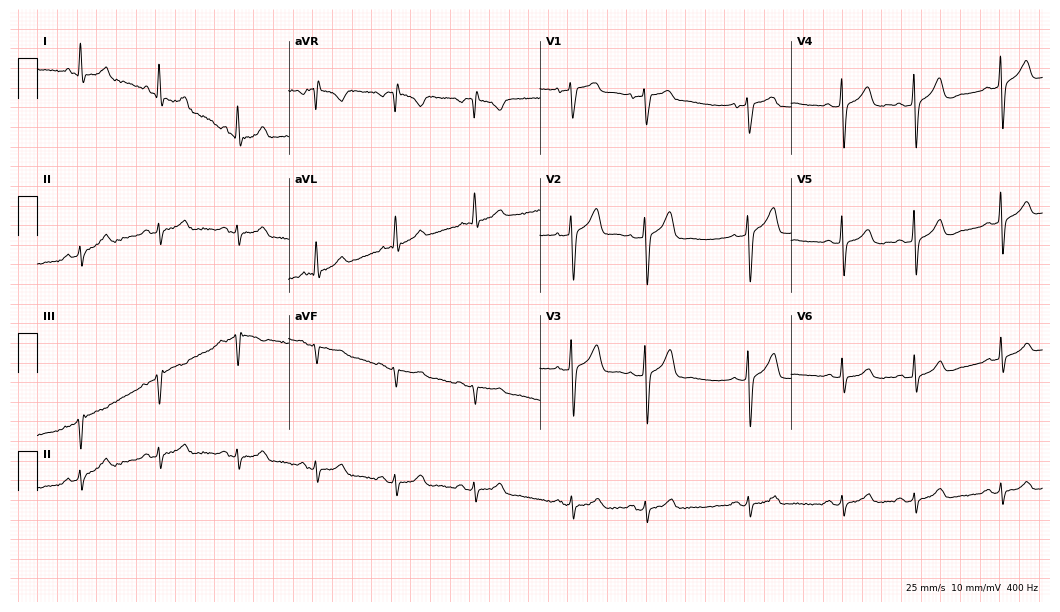
Resting 12-lead electrocardiogram (10.2-second recording at 400 Hz). Patient: a 68-year-old female. None of these six findings is recorded: first-degree AV block, right bundle branch block, left bundle branch block, sinus bradycardia, atrial fibrillation, sinus tachycardia. Only these six findings were labelled.